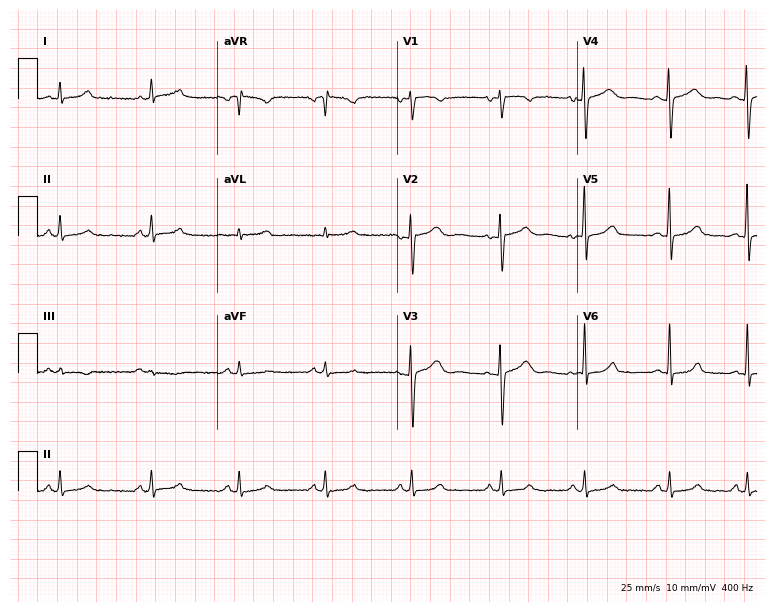
12-lead ECG from a female patient, 24 years old (7.3-second recording at 400 Hz). Recorded interpretation: within normal limits.